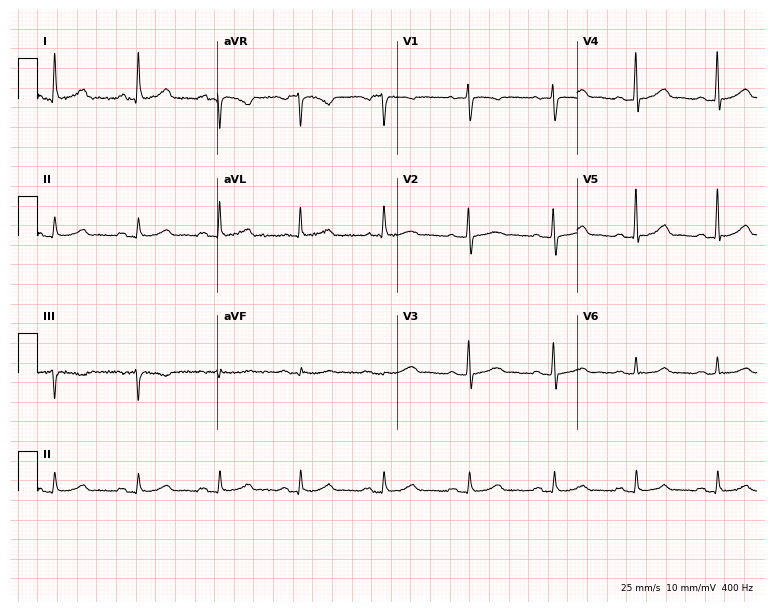
Electrocardiogram (7.3-second recording at 400 Hz), a 52-year-old female patient. Overall reading on record: normal ECG.